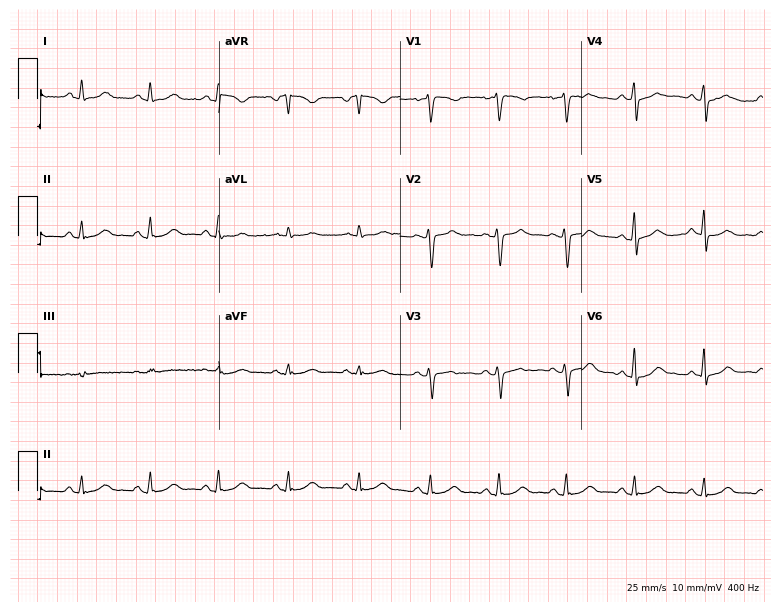
Resting 12-lead electrocardiogram (7.4-second recording at 400 Hz). Patient: a female, 47 years old. Read as a normal ECG.